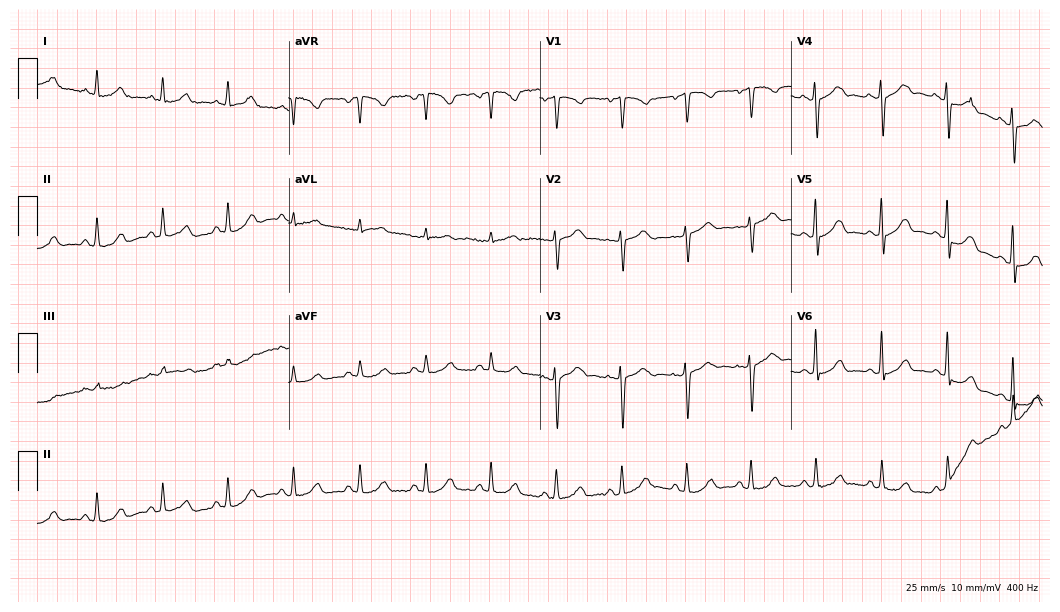
Resting 12-lead electrocardiogram. Patient: a woman, 48 years old. Read as a normal ECG.